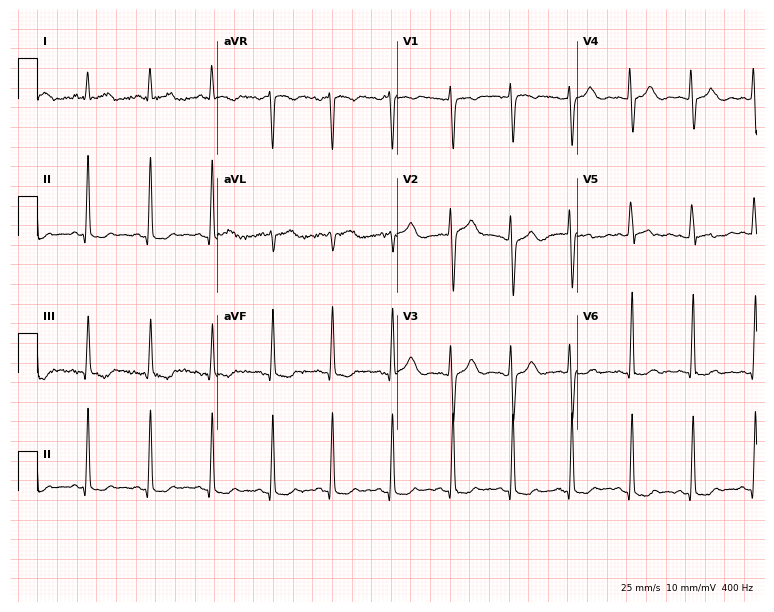
Standard 12-lead ECG recorded from a 28-year-old female patient. None of these six findings is recorded: first-degree AV block, right bundle branch block (RBBB), left bundle branch block (LBBB), sinus bradycardia, atrial fibrillation (AF), sinus tachycardia.